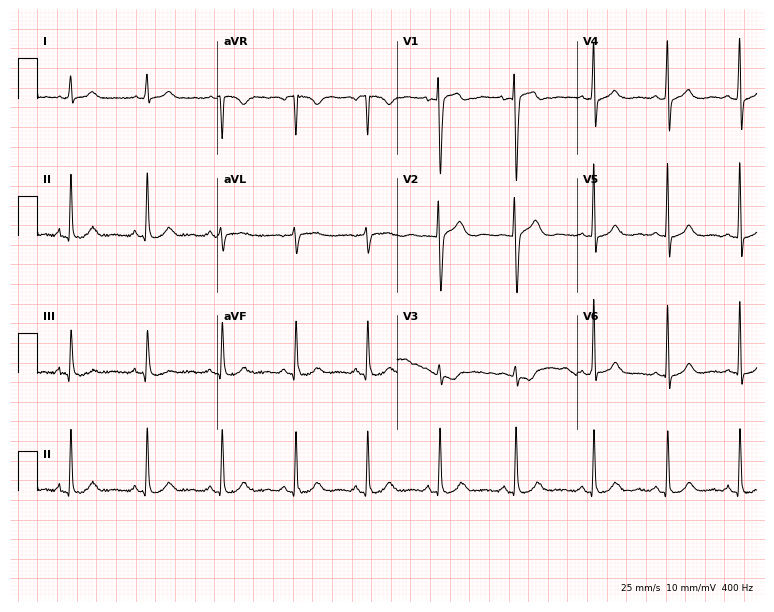
12-lead ECG (7.3-second recording at 400 Hz) from a female, 29 years old. Labelled as a normal ECG.